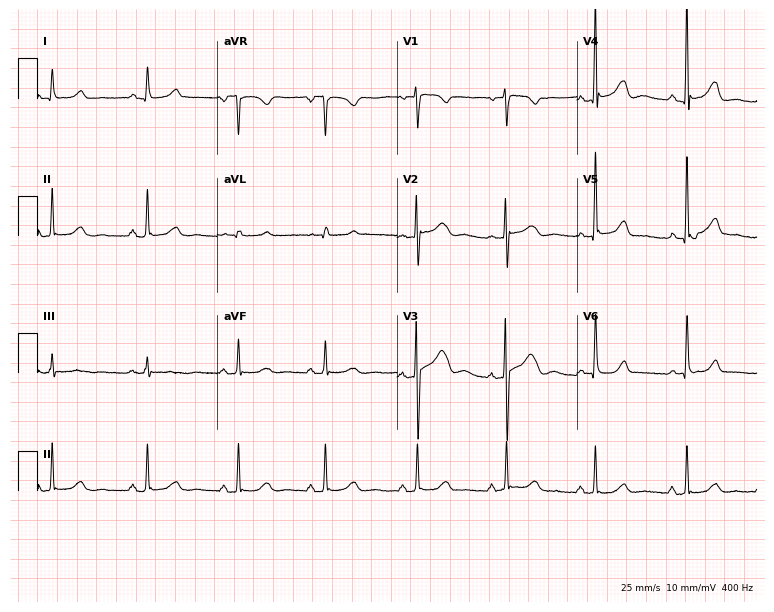
12-lead ECG from a female patient, 26 years old. Labelled as a normal ECG.